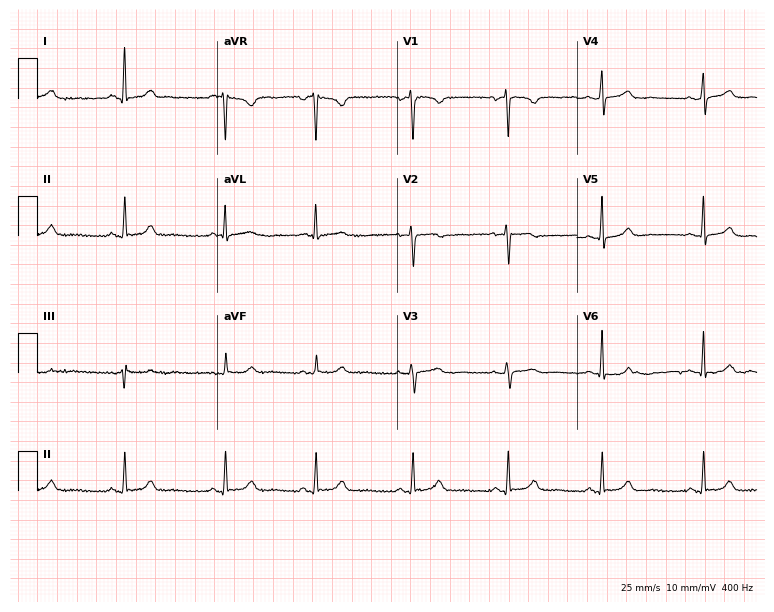
Electrocardiogram, a 36-year-old woman. Overall reading on record: normal ECG.